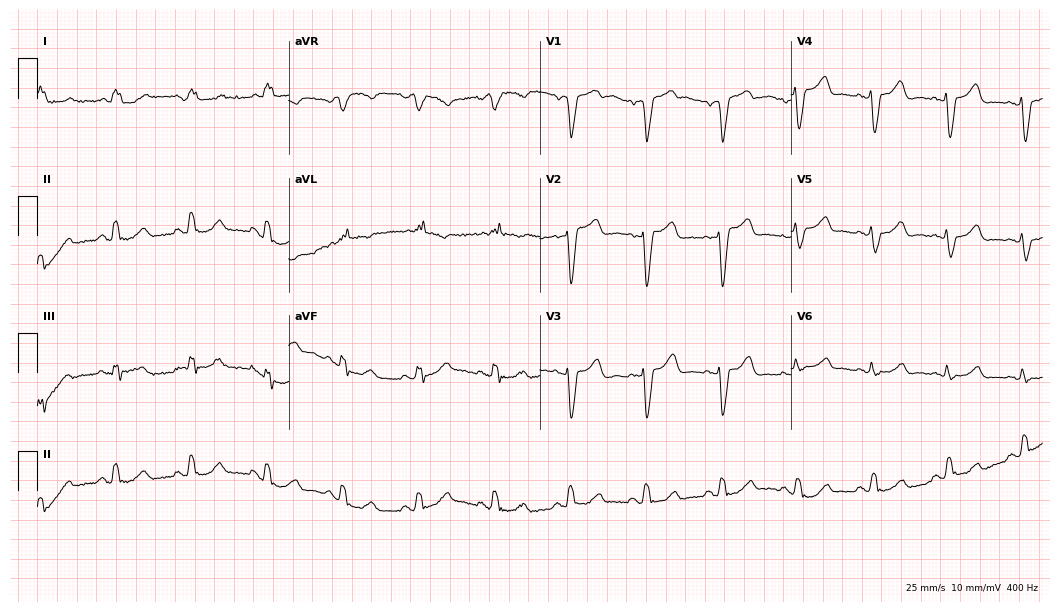
Electrocardiogram, a female patient, 84 years old. Interpretation includes left bundle branch block (LBBB).